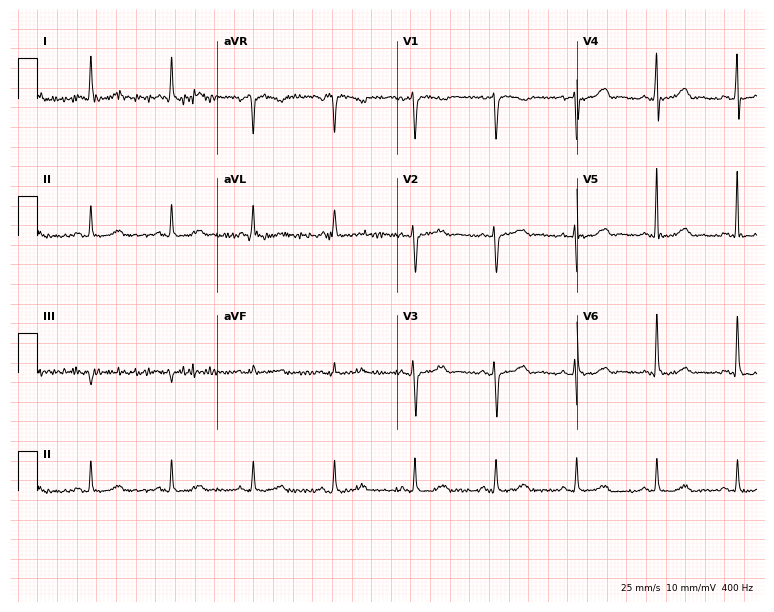
ECG (7.3-second recording at 400 Hz) — a female, 68 years old. Labelled as a normal ECG.